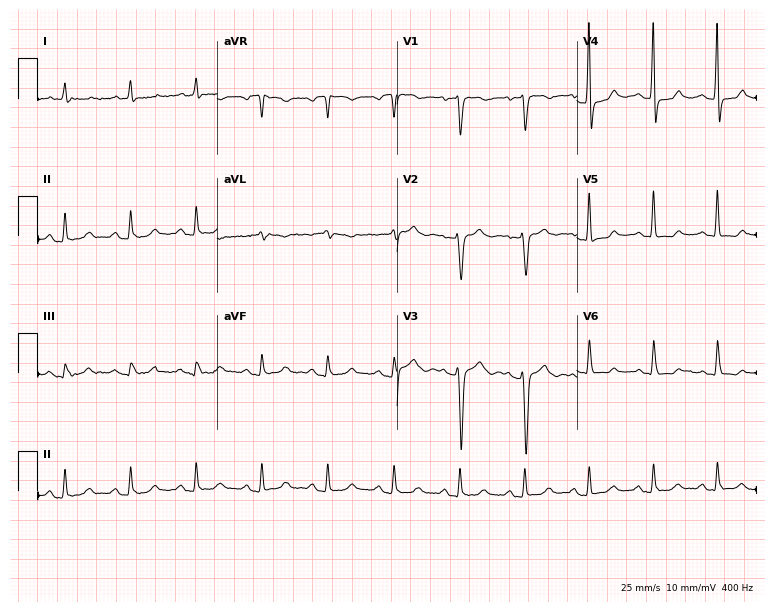
Electrocardiogram (7.3-second recording at 400 Hz), a female patient, 52 years old. Of the six screened findings (first-degree AV block, right bundle branch block, left bundle branch block, sinus bradycardia, atrial fibrillation, sinus tachycardia), none is recorded. Other findings, if any, are not listed.